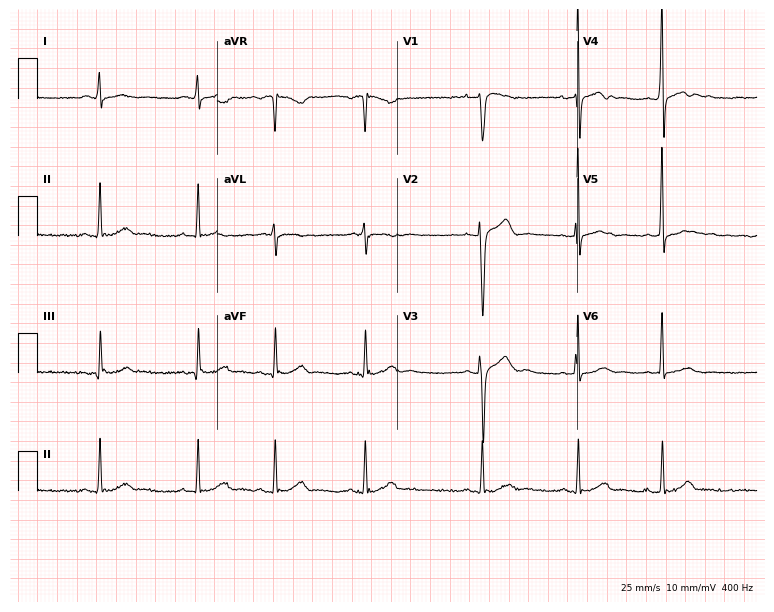
12-lead ECG from a man, 24 years old (7.3-second recording at 400 Hz). No first-degree AV block, right bundle branch block, left bundle branch block, sinus bradycardia, atrial fibrillation or sinus tachycardia recorded for this tracing. Only these six findings were labelled.